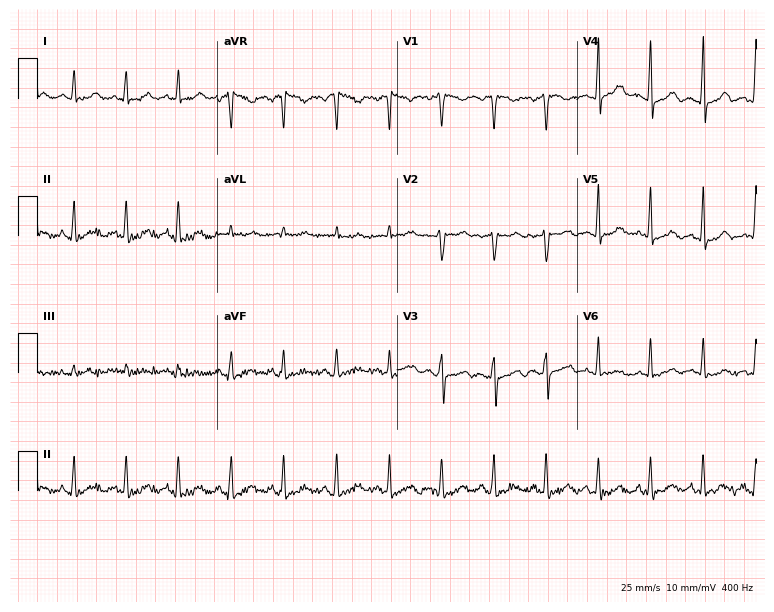
12-lead ECG from a 24-year-old female. Findings include sinus tachycardia (a sinus rate of 100 beats per minute or more).